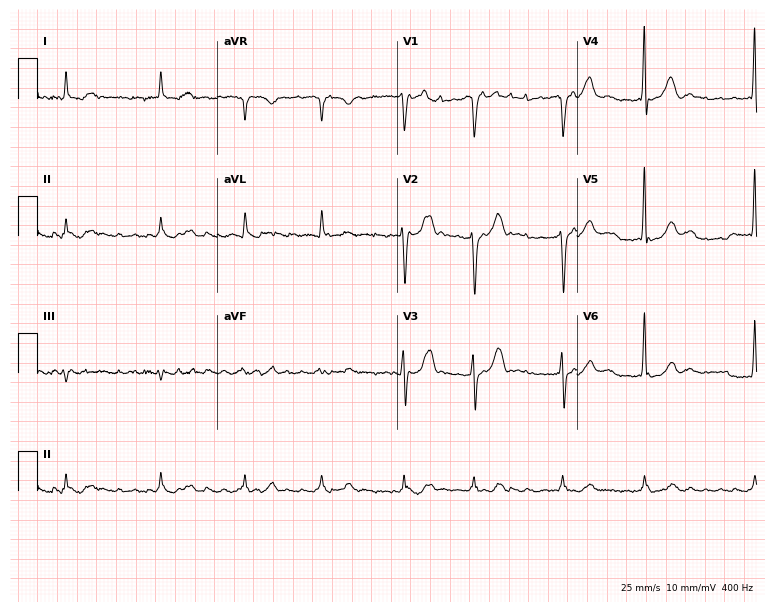
12-lead ECG (7.3-second recording at 400 Hz) from a male, 71 years old. Findings include atrial fibrillation.